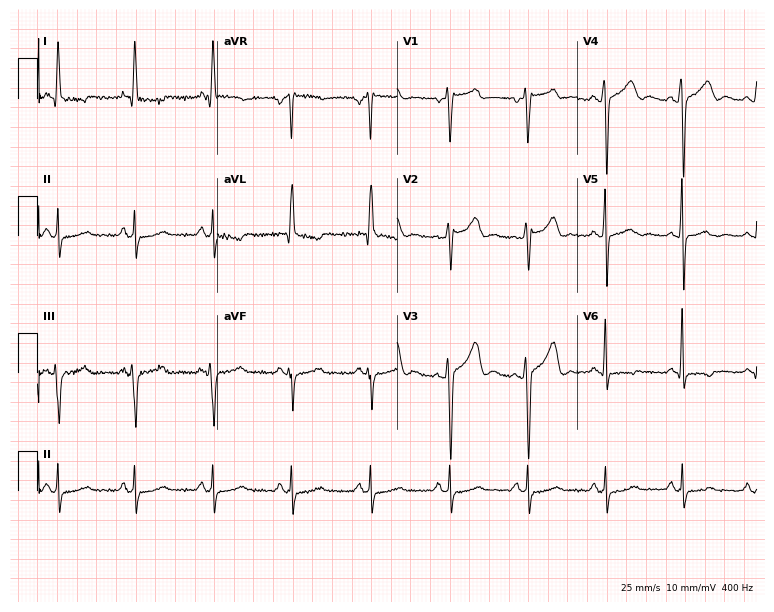
Resting 12-lead electrocardiogram (7.3-second recording at 400 Hz). Patient: a 46-year-old female. None of these six findings is recorded: first-degree AV block, right bundle branch block, left bundle branch block, sinus bradycardia, atrial fibrillation, sinus tachycardia.